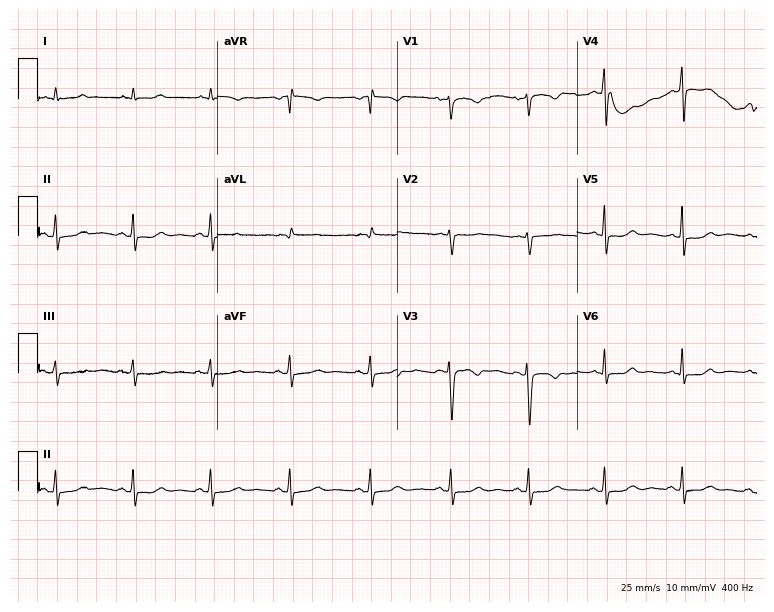
Resting 12-lead electrocardiogram. Patient: a 59-year-old female. None of these six findings is recorded: first-degree AV block, right bundle branch block, left bundle branch block, sinus bradycardia, atrial fibrillation, sinus tachycardia.